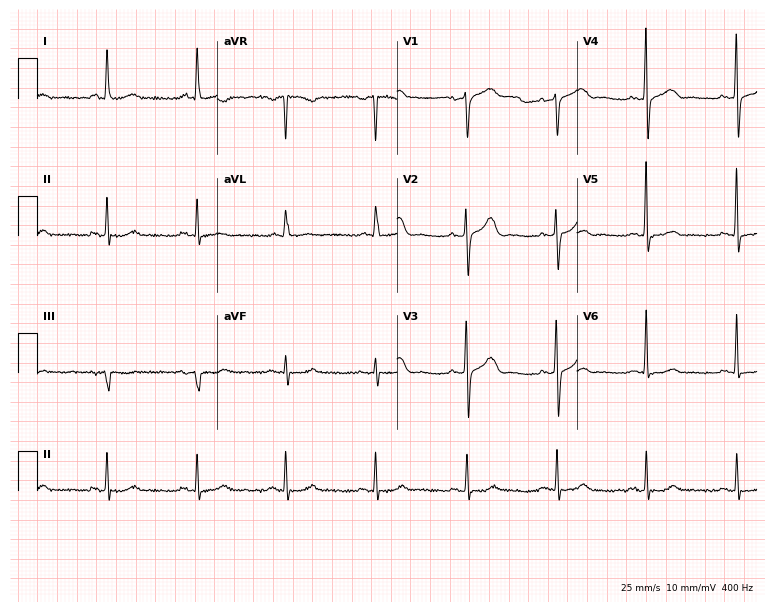
Standard 12-lead ECG recorded from a woman, 80 years old. Read as a normal ECG.